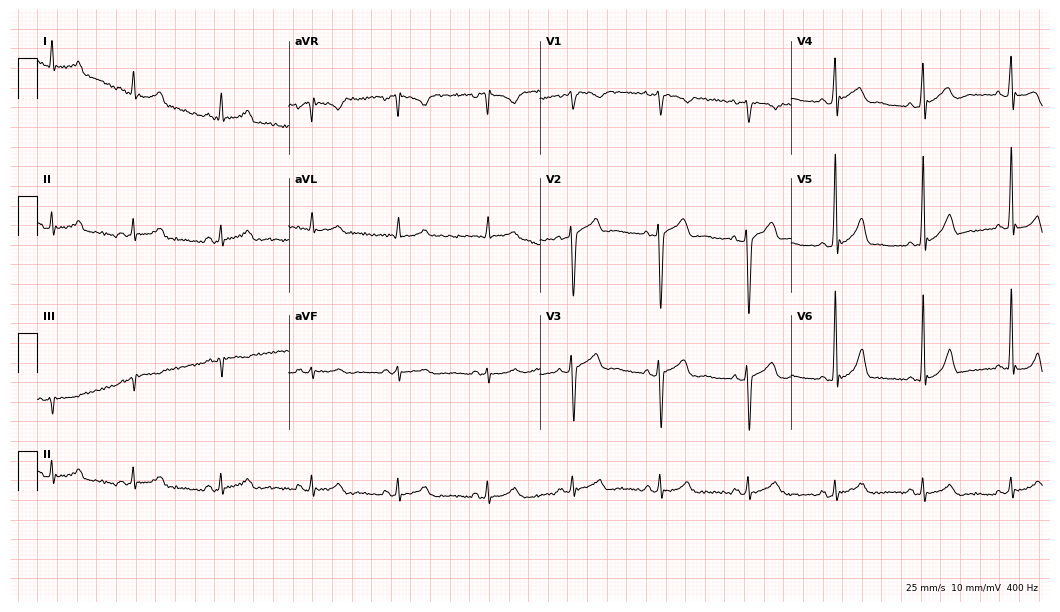
12-lead ECG from a 21-year-old male patient. Labelled as a normal ECG.